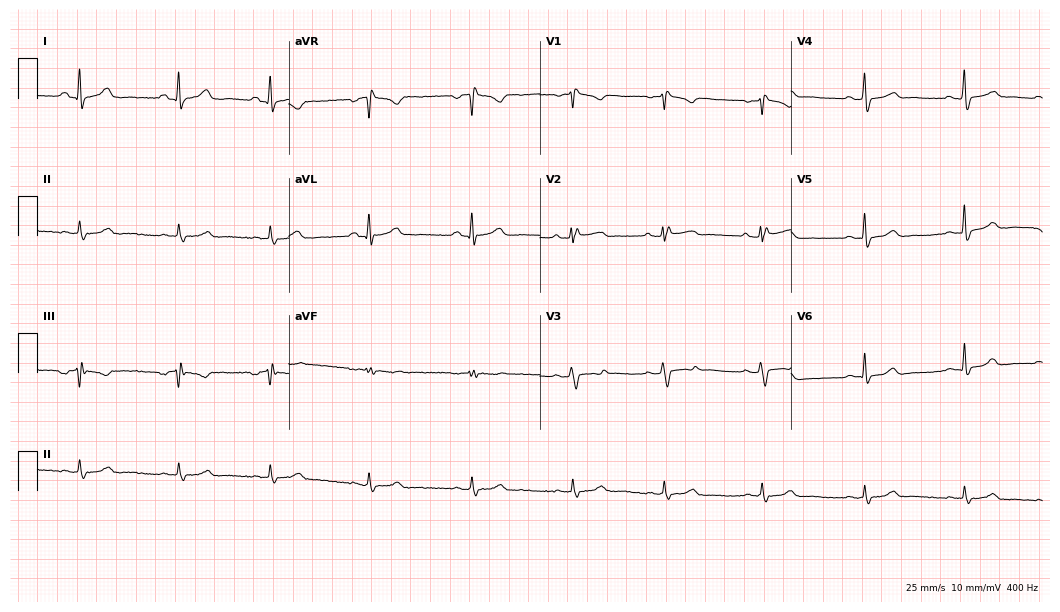
Resting 12-lead electrocardiogram (10.2-second recording at 400 Hz). Patient: a 41-year-old female. None of these six findings is recorded: first-degree AV block, right bundle branch block, left bundle branch block, sinus bradycardia, atrial fibrillation, sinus tachycardia. Other findings, if any, are not listed.